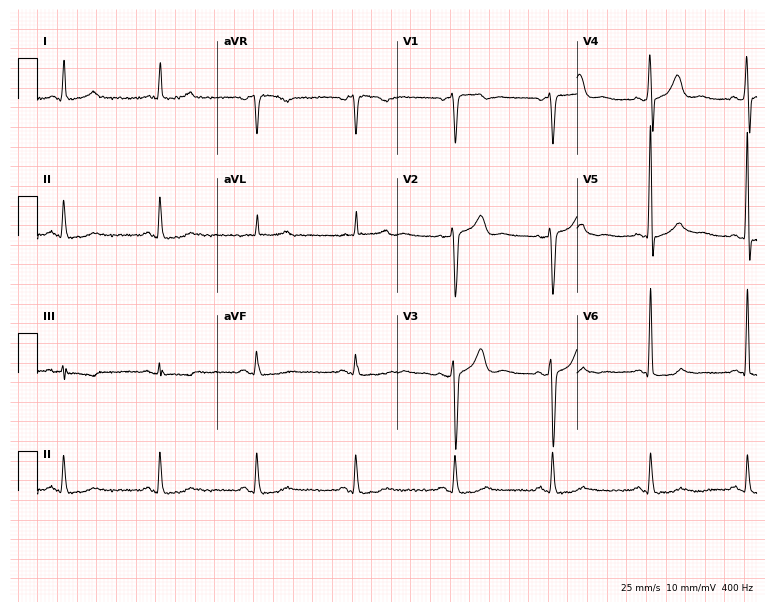
12-lead ECG from a male patient, 55 years old (7.3-second recording at 400 Hz). No first-degree AV block, right bundle branch block, left bundle branch block, sinus bradycardia, atrial fibrillation or sinus tachycardia recorded for this tracing. Other findings, if any, are not listed.